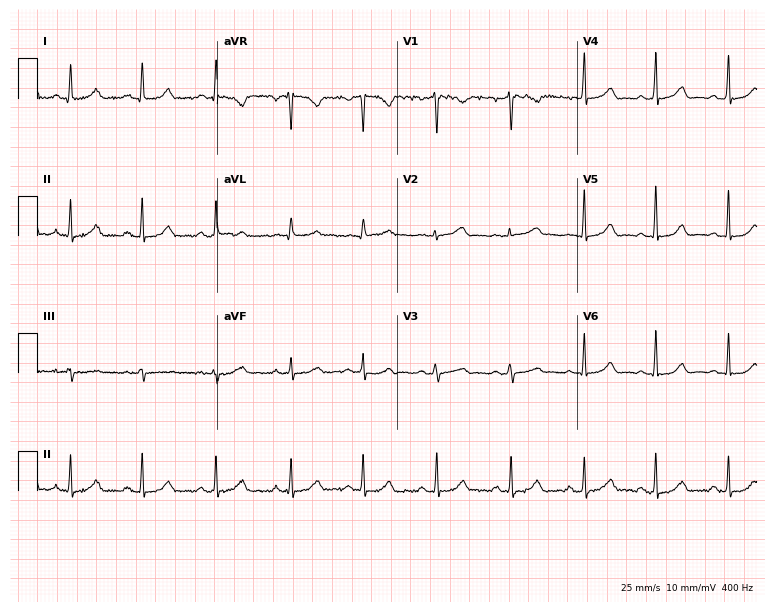
Resting 12-lead electrocardiogram (7.3-second recording at 400 Hz). Patient: a female, 45 years old. None of these six findings is recorded: first-degree AV block, right bundle branch block, left bundle branch block, sinus bradycardia, atrial fibrillation, sinus tachycardia.